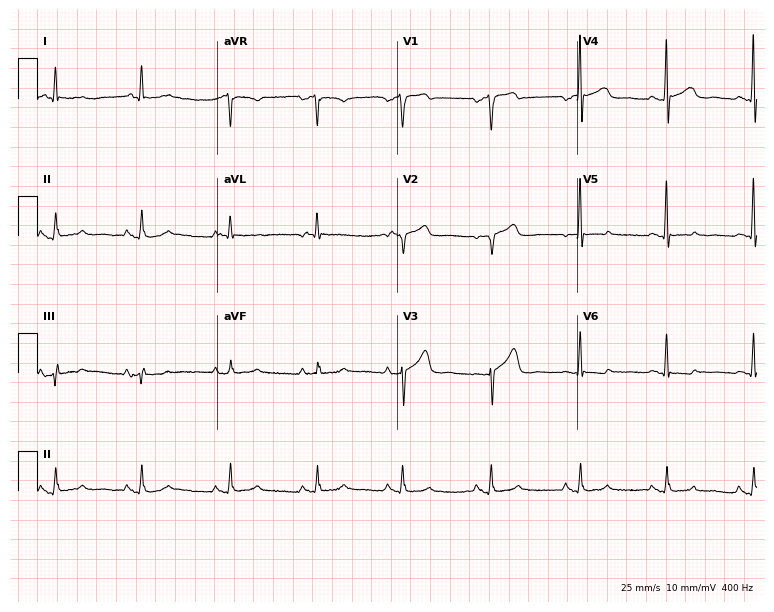
Resting 12-lead electrocardiogram. Patient: a 72-year-old male. None of these six findings is recorded: first-degree AV block, right bundle branch block, left bundle branch block, sinus bradycardia, atrial fibrillation, sinus tachycardia.